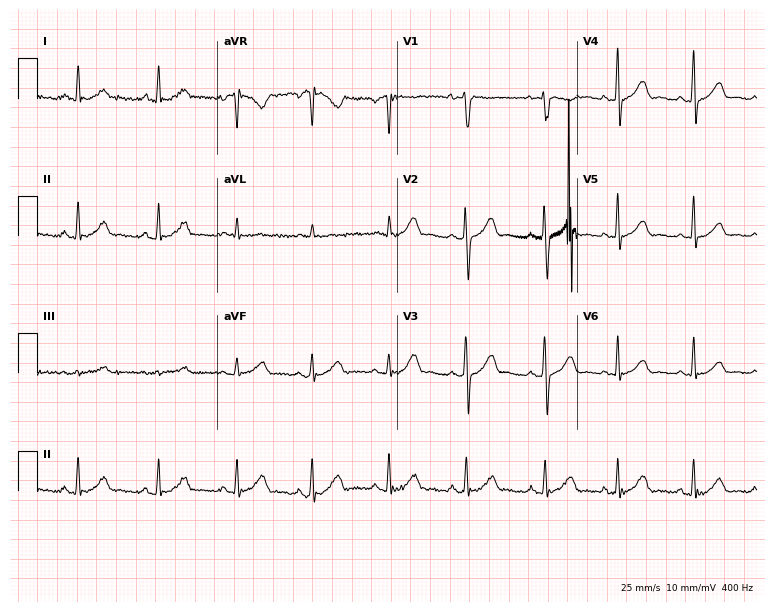
Resting 12-lead electrocardiogram (7.3-second recording at 400 Hz). Patient: a 32-year-old female. Read as a normal ECG.